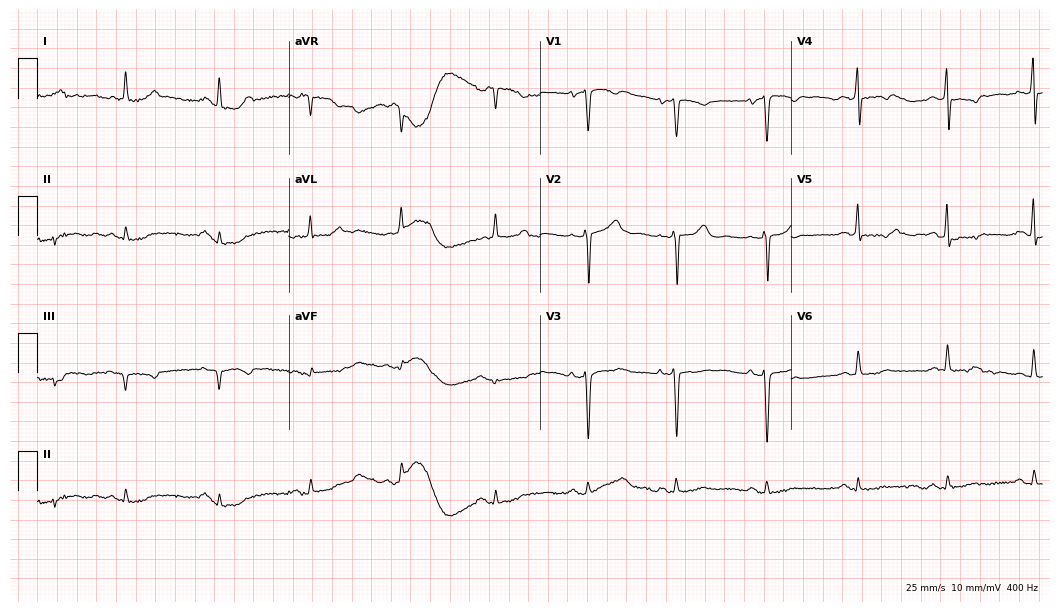
12-lead ECG from an 81-year-old male. No first-degree AV block, right bundle branch block, left bundle branch block, sinus bradycardia, atrial fibrillation or sinus tachycardia recorded for this tracing. Only these six findings were labelled.